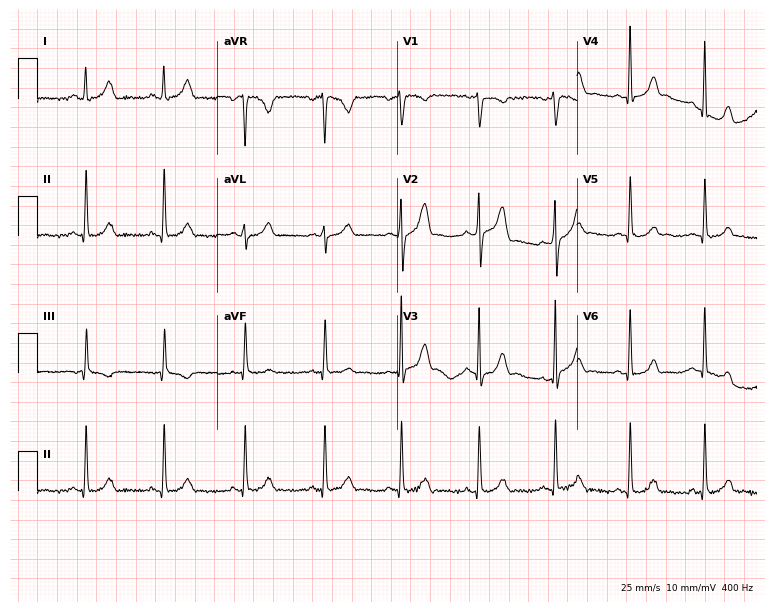
12-lead ECG from a 26-year-old female patient. No first-degree AV block, right bundle branch block, left bundle branch block, sinus bradycardia, atrial fibrillation or sinus tachycardia recorded for this tracing. Other findings, if any, are not listed.